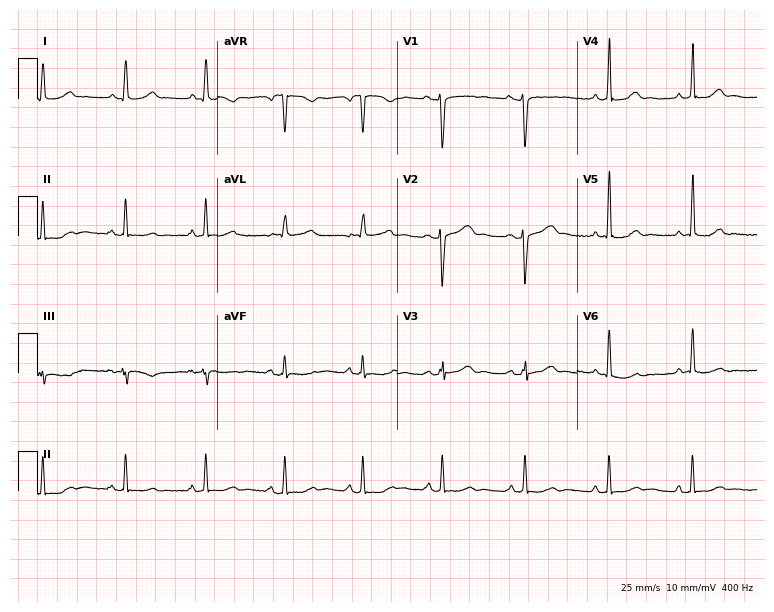
12-lead ECG from a 37-year-old woman. Labelled as a normal ECG.